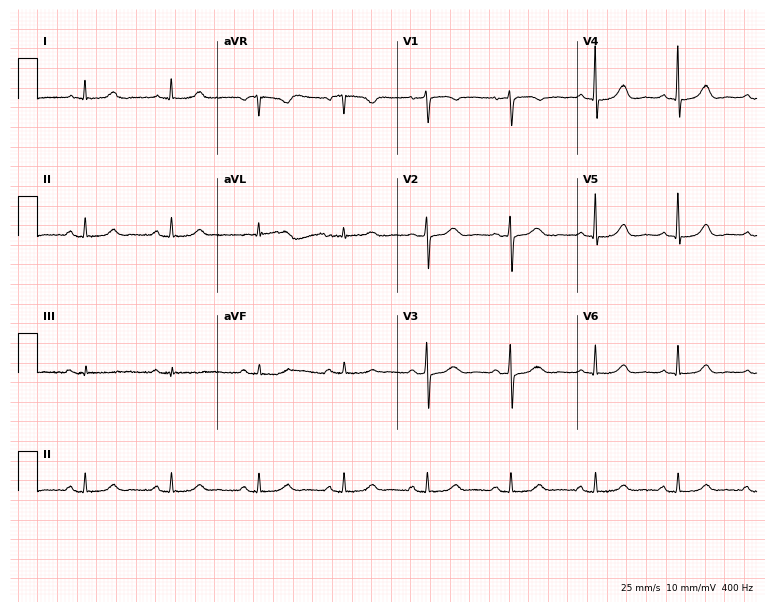
ECG (7.3-second recording at 400 Hz) — a woman, 66 years old. Labelled as a normal ECG.